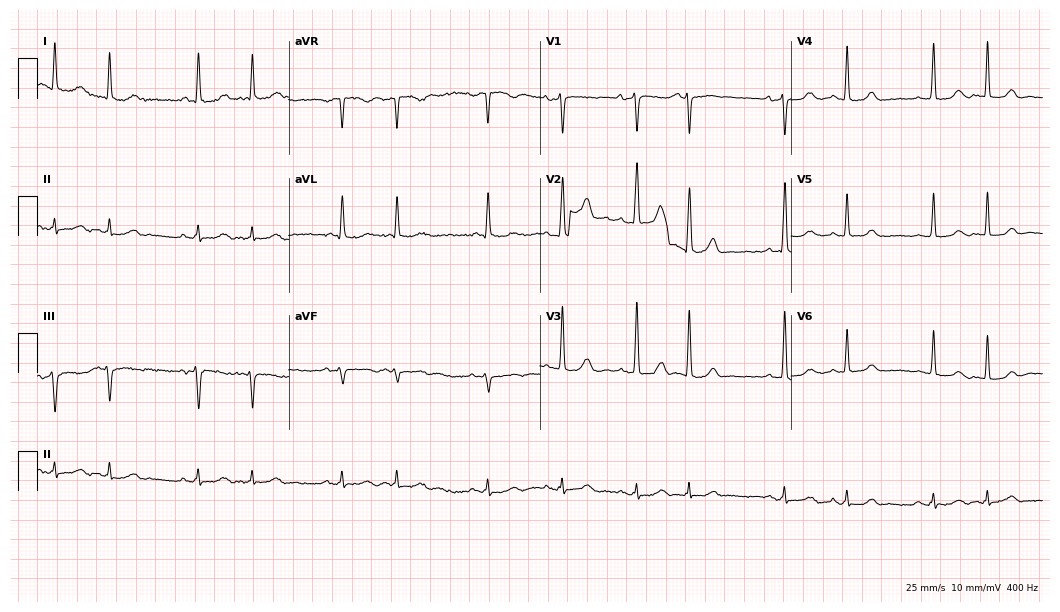
12-lead ECG (10.2-second recording at 400 Hz) from a female, 85 years old. Screened for six findings — first-degree AV block, right bundle branch block, left bundle branch block, sinus bradycardia, atrial fibrillation, sinus tachycardia — none is recorded. Findings outside these six are not listed.